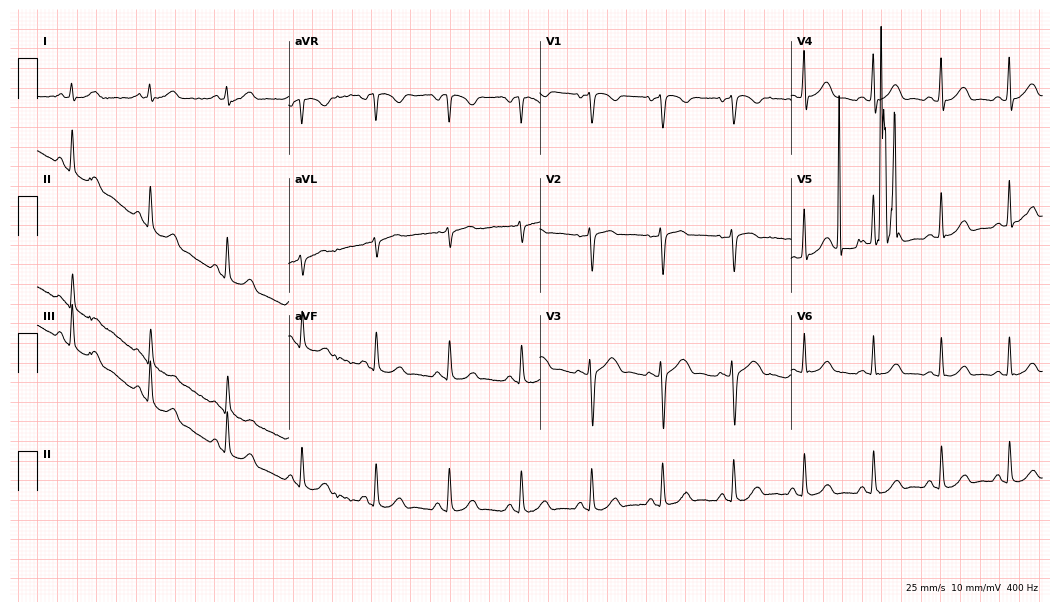
Resting 12-lead electrocardiogram. Patient: a 29-year-old woman. Read as a normal ECG.